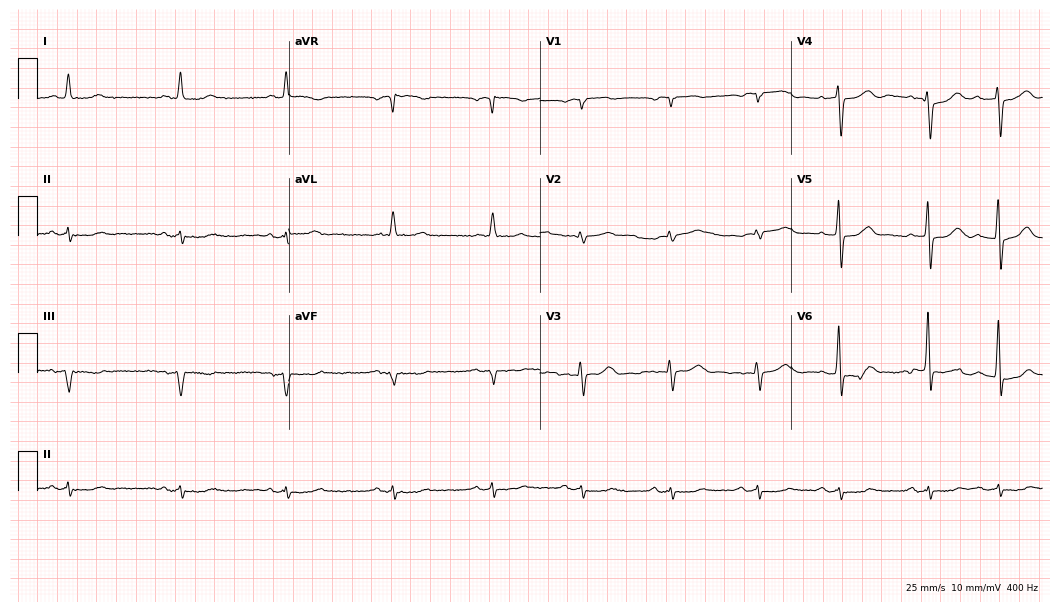
12-lead ECG from an 85-year-old male. Screened for six findings — first-degree AV block, right bundle branch block (RBBB), left bundle branch block (LBBB), sinus bradycardia, atrial fibrillation (AF), sinus tachycardia — none is recorded.